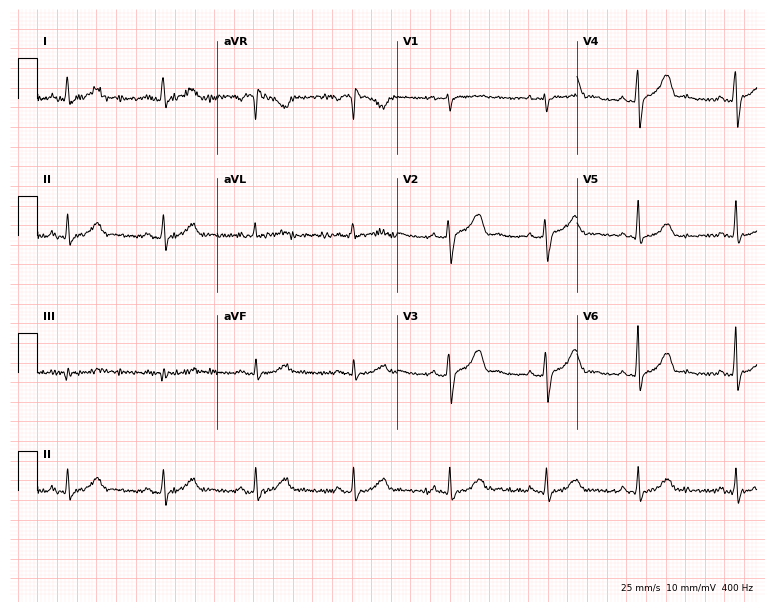
12-lead ECG from a woman, 44 years old. Labelled as a normal ECG.